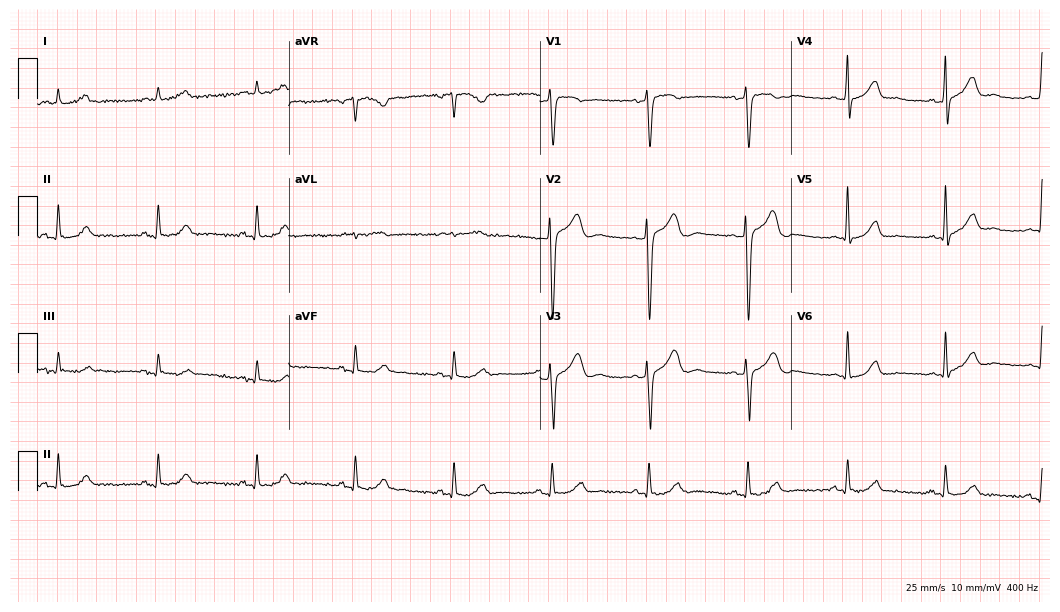
12-lead ECG from a 56-year-old man (10.2-second recording at 400 Hz). Recorded interpretation: within normal limits.